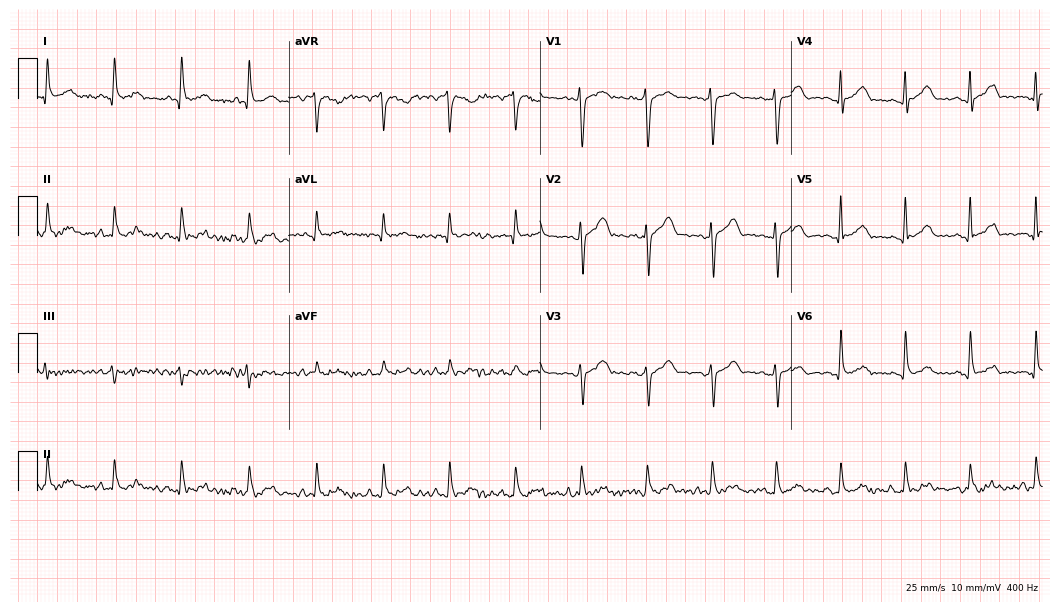
Electrocardiogram, a 46-year-old male patient. Overall reading on record: normal ECG.